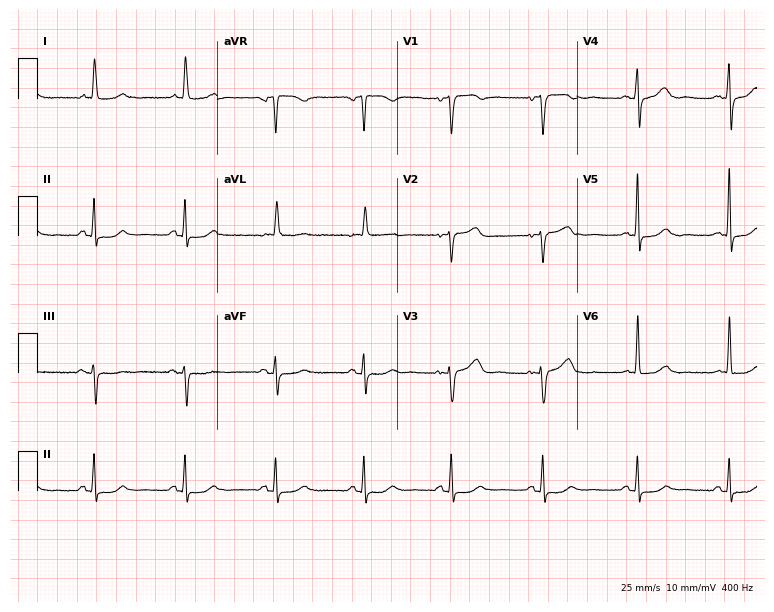
Electrocardiogram (7.3-second recording at 400 Hz), a female, 75 years old. Of the six screened findings (first-degree AV block, right bundle branch block (RBBB), left bundle branch block (LBBB), sinus bradycardia, atrial fibrillation (AF), sinus tachycardia), none is recorded. Other findings, if any, are not listed.